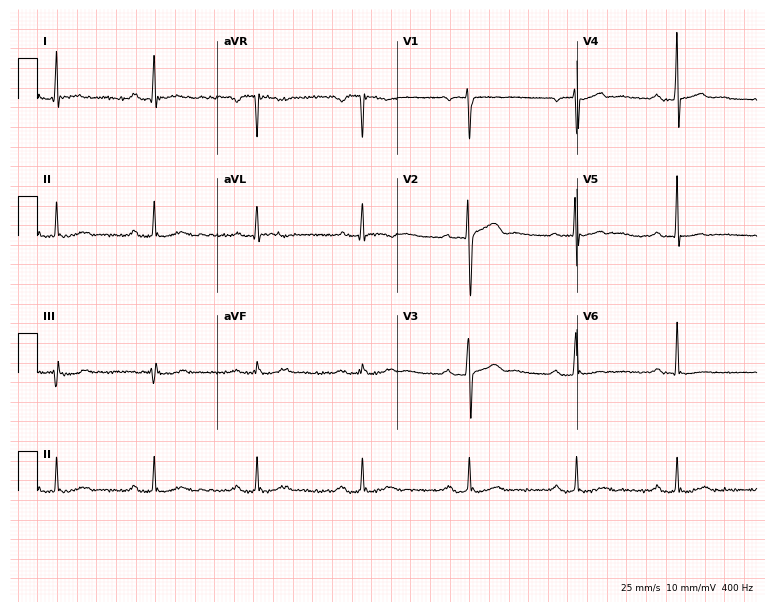
12-lead ECG (7.3-second recording at 400 Hz) from a 44-year-old male patient. Screened for six findings — first-degree AV block, right bundle branch block (RBBB), left bundle branch block (LBBB), sinus bradycardia, atrial fibrillation (AF), sinus tachycardia — none is recorded. Other findings, if any, are not listed.